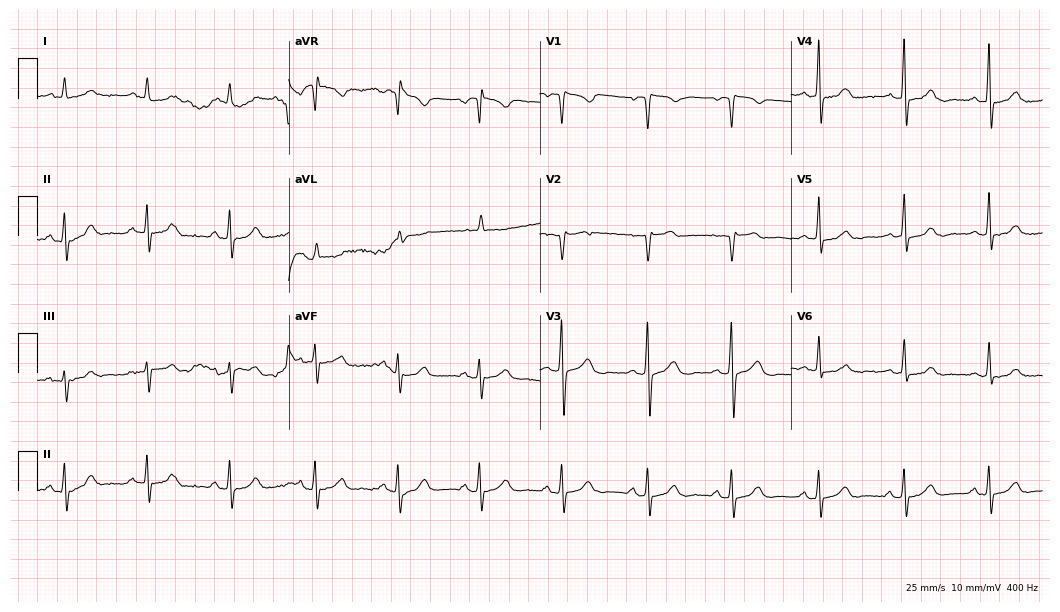
Resting 12-lead electrocardiogram. Patient: a 41-year-old female. None of these six findings is recorded: first-degree AV block, right bundle branch block, left bundle branch block, sinus bradycardia, atrial fibrillation, sinus tachycardia. Only these six findings were labelled.